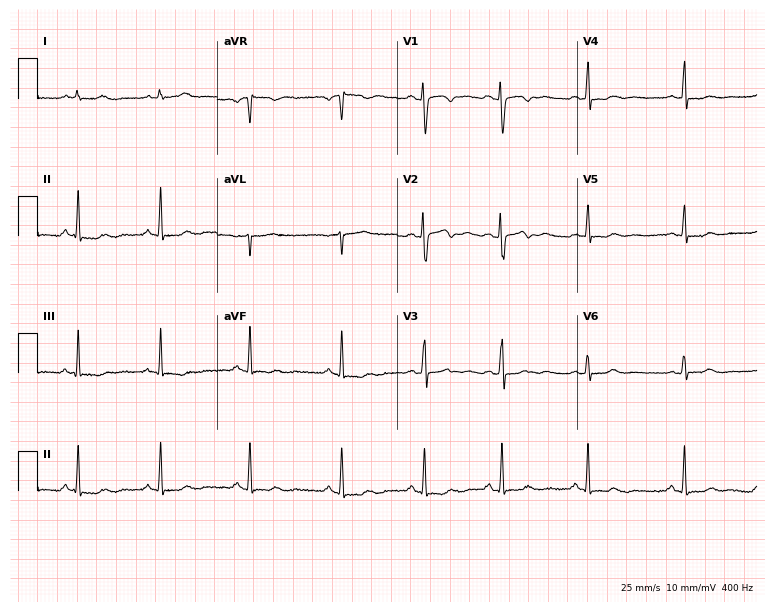
12-lead ECG from a 29-year-old female (7.3-second recording at 400 Hz). Recorded interpretation: within normal limits.